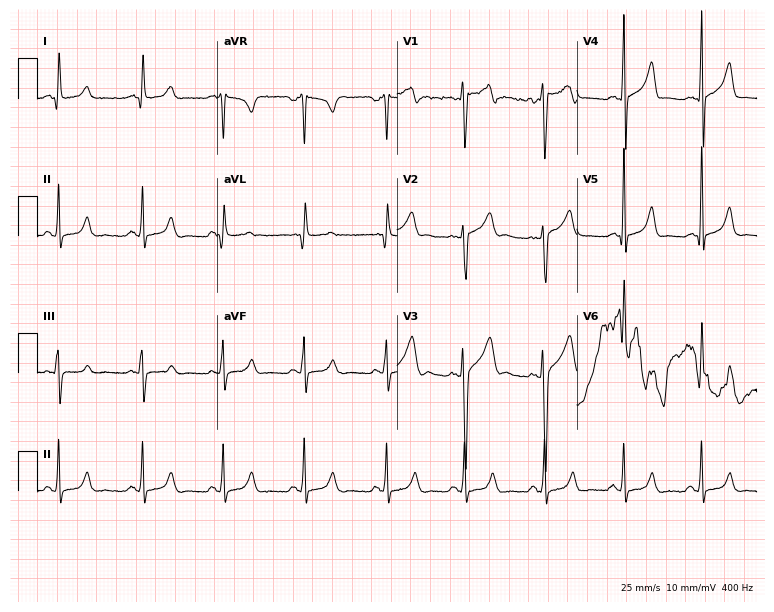
Electrocardiogram (7.3-second recording at 400 Hz), a male patient, 23 years old. Of the six screened findings (first-degree AV block, right bundle branch block, left bundle branch block, sinus bradycardia, atrial fibrillation, sinus tachycardia), none is recorded. Only these six findings were labelled.